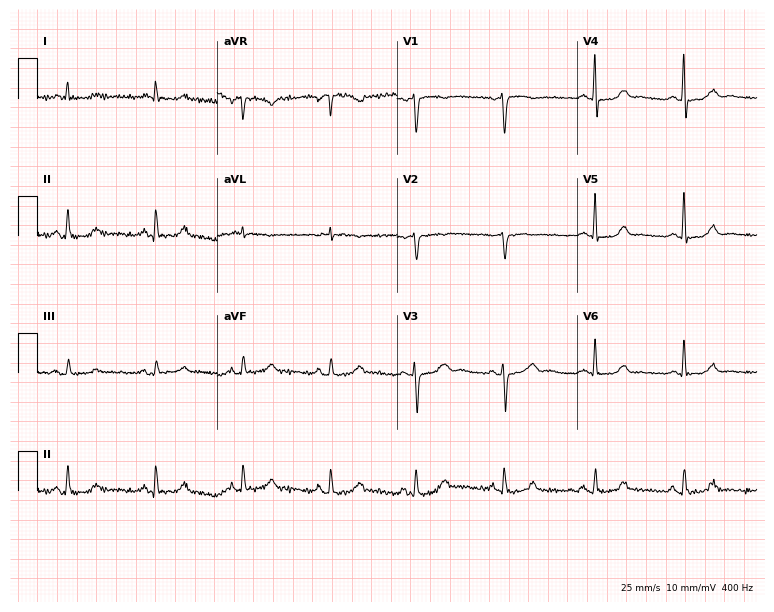
ECG (7.3-second recording at 400 Hz) — a female, 69 years old. Labelled as a normal ECG.